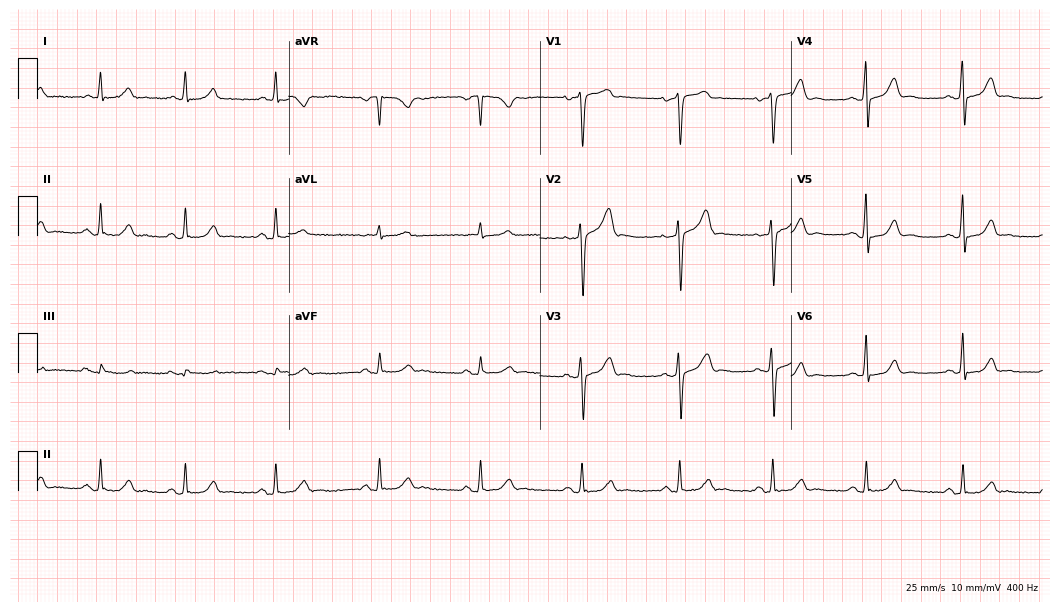
Resting 12-lead electrocardiogram (10.2-second recording at 400 Hz). Patient: a 65-year-old male. Read as a normal ECG.